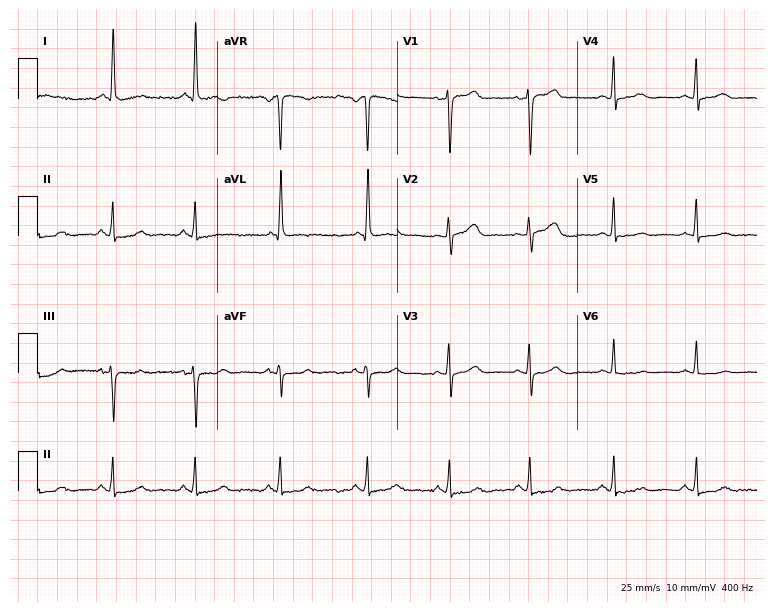
Electrocardiogram (7.3-second recording at 400 Hz), a 57-year-old woman. Of the six screened findings (first-degree AV block, right bundle branch block, left bundle branch block, sinus bradycardia, atrial fibrillation, sinus tachycardia), none is recorded.